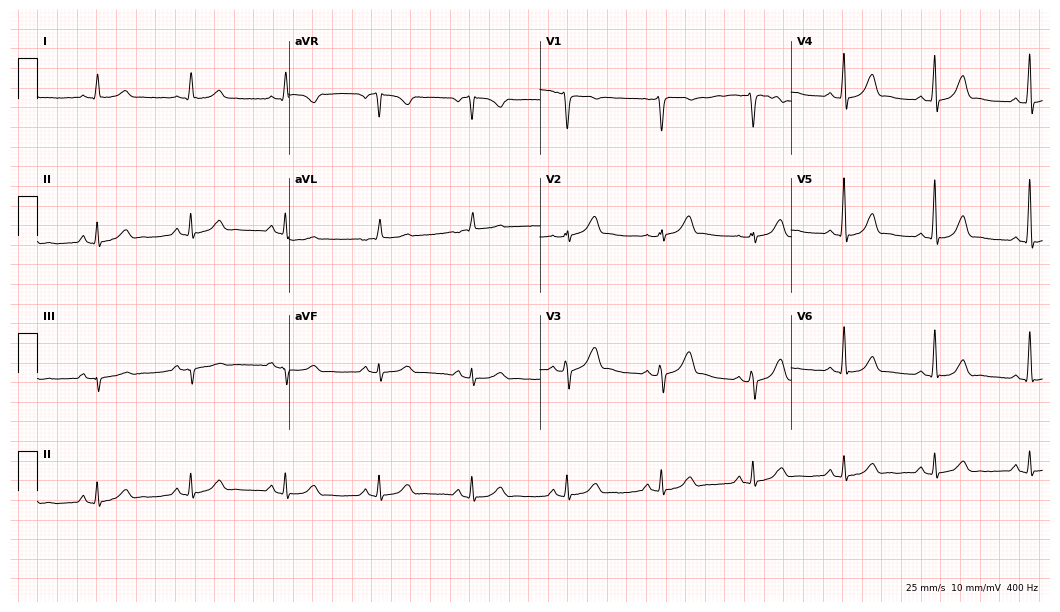
Electrocardiogram (10.2-second recording at 400 Hz), a male, 53 years old. Overall reading on record: normal ECG.